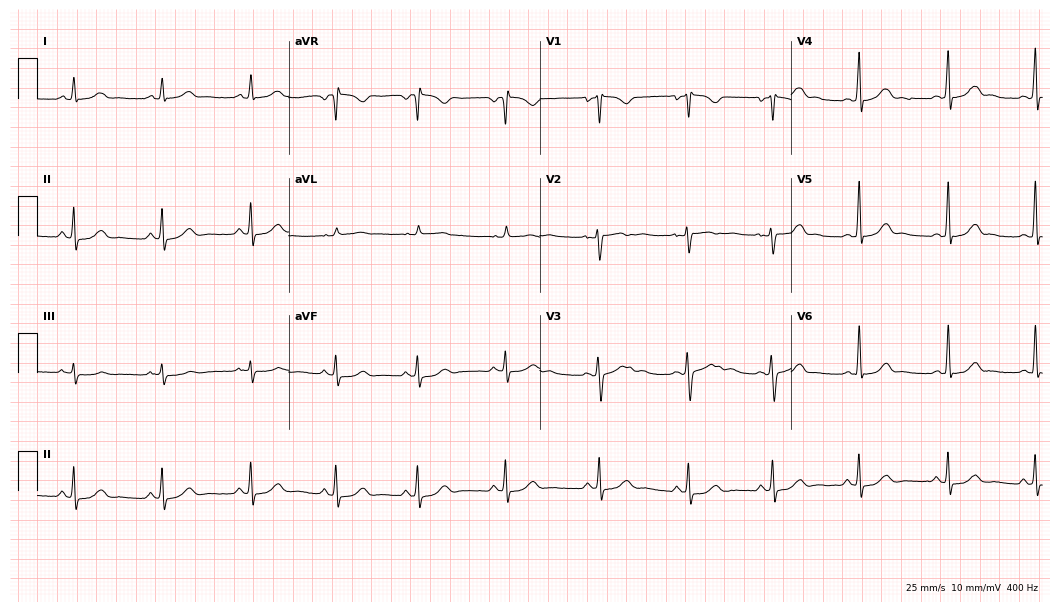
Electrocardiogram (10.2-second recording at 400 Hz), a female, 25 years old. Overall reading on record: normal ECG.